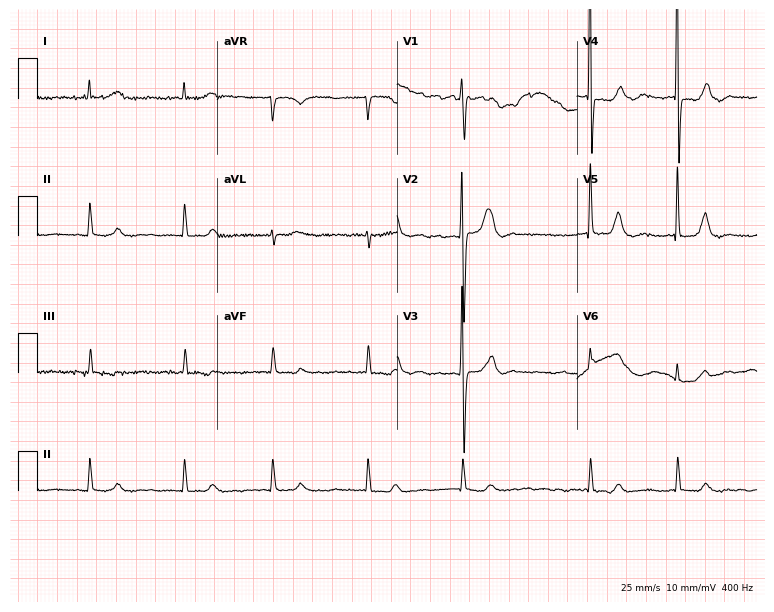
ECG — a female patient, 64 years old. Findings include atrial fibrillation.